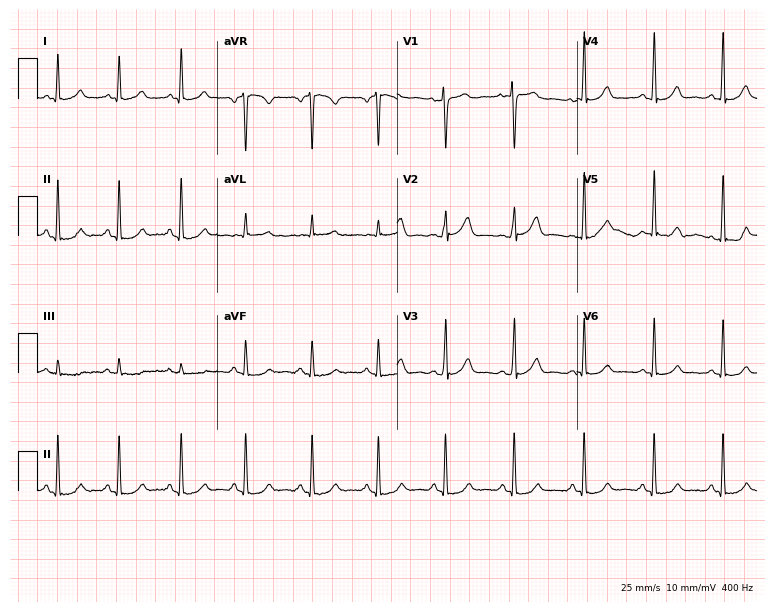
12-lead ECG from a woman, 38 years old (7.3-second recording at 400 Hz). No first-degree AV block, right bundle branch block, left bundle branch block, sinus bradycardia, atrial fibrillation or sinus tachycardia recorded for this tracing. Findings outside these six are not listed.